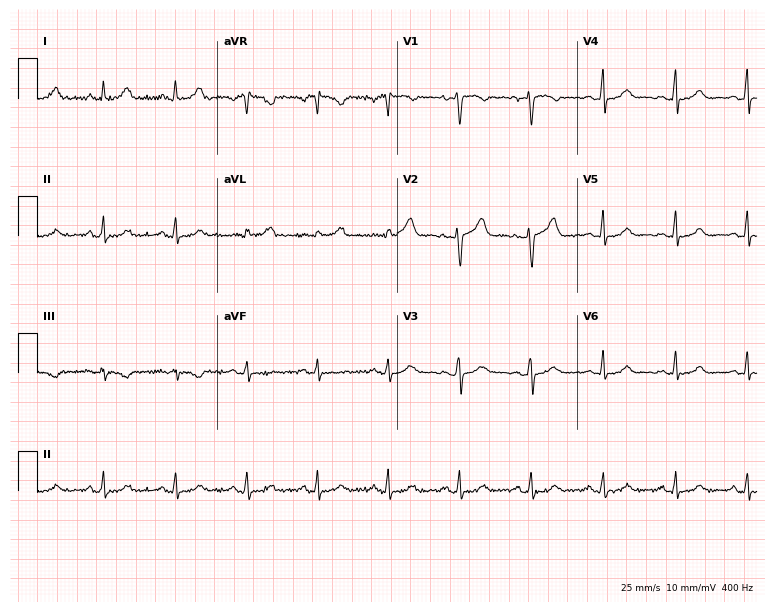
Resting 12-lead electrocardiogram (7.3-second recording at 400 Hz). Patient: a 49-year-old woman. Read as a normal ECG.